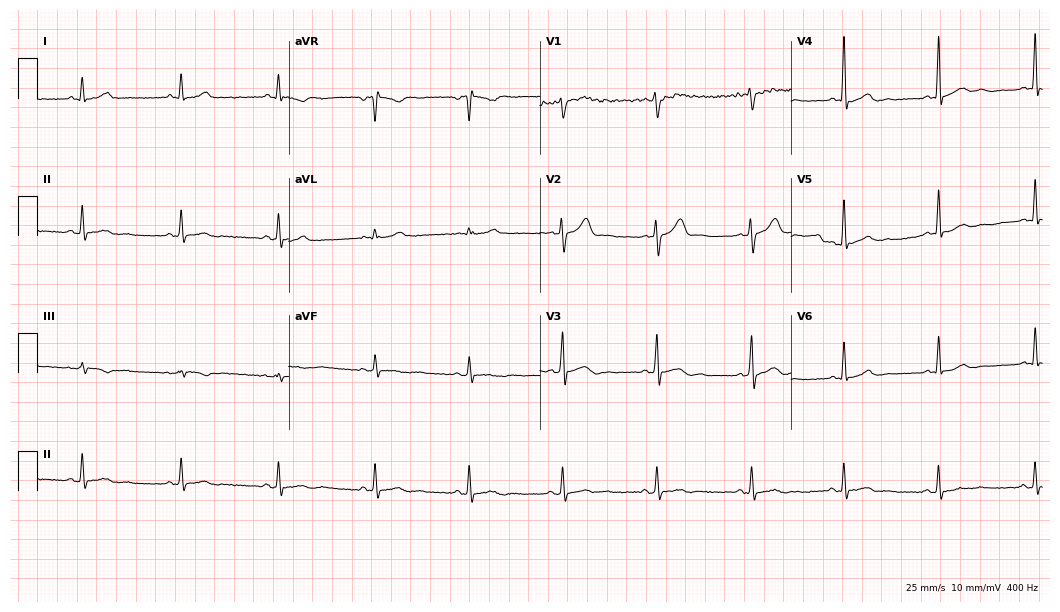
12-lead ECG from a 42-year-old male patient (10.2-second recording at 400 Hz). No first-degree AV block, right bundle branch block, left bundle branch block, sinus bradycardia, atrial fibrillation or sinus tachycardia recorded for this tracing. Findings outside these six are not listed.